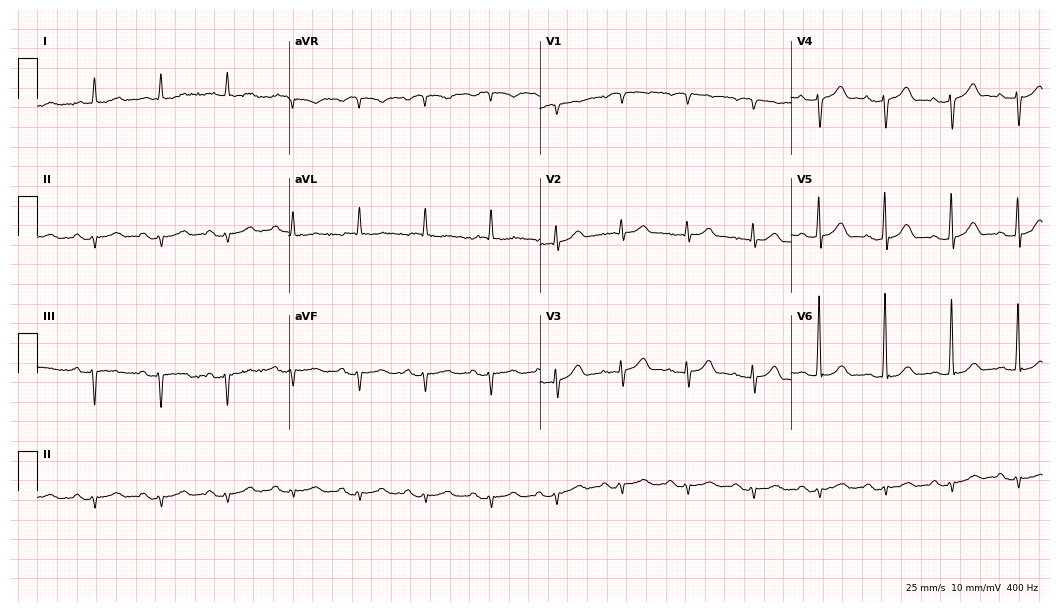
ECG — a male, 83 years old. Labelled as a normal ECG.